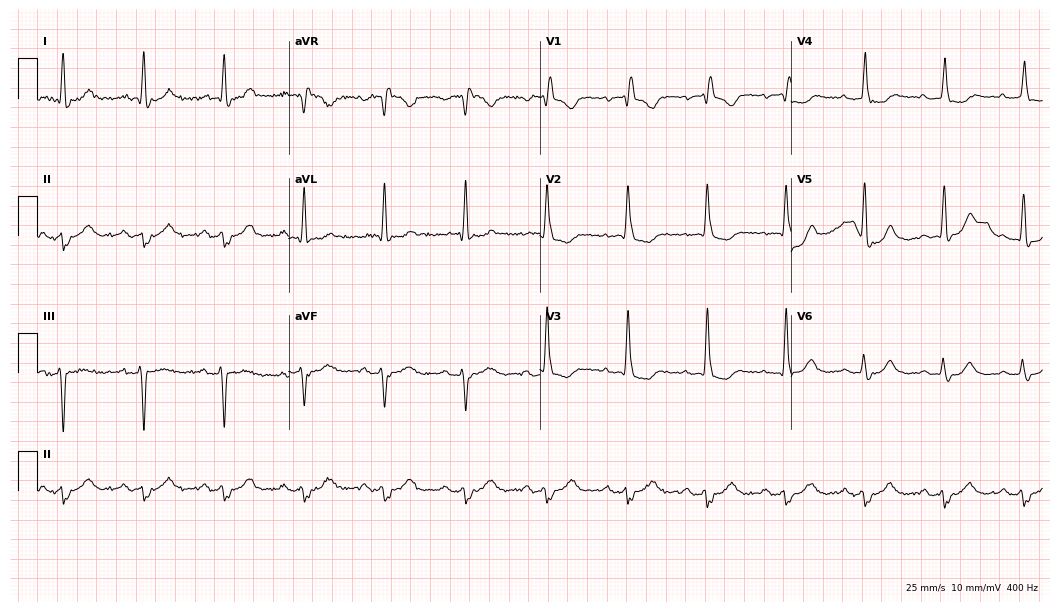
Standard 12-lead ECG recorded from a woman, 76 years old. The tracing shows right bundle branch block (RBBB).